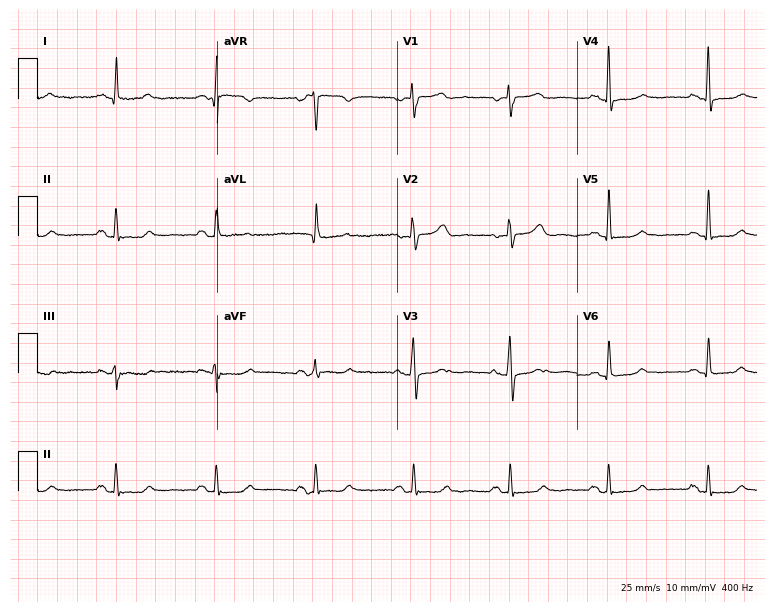
12-lead ECG from a 58-year-old female (7.3-second recording at 400 Hz). Recorded interpretation: within normal limits.